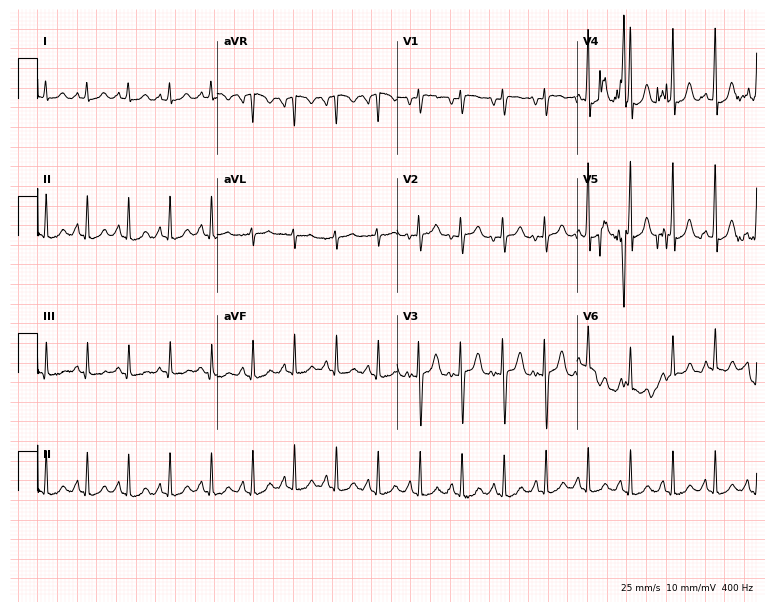
Standard 12-lead ECG recorded from a female patient, 18 years old (7.3-second recording at 400 Hz). The tracing shows sinus tachycardia (a sinus rate of 100 beats per minute or more).